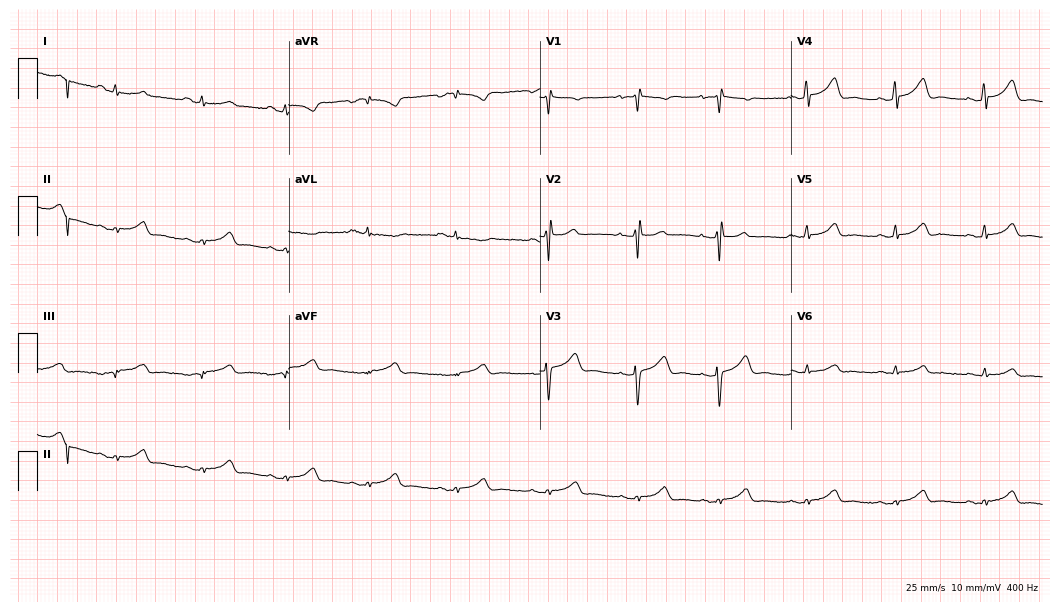
Standard 12-lead ECG recorded from a 36-year-old female (10.2-second recording at 400 Hz). None of these six findings is recorded: first-degree AV block, right bundle branch block (RBBB), left bundle branch block (LBBB), sinus bradycardia, atrial fibrillation (AF), sinus tachycardia.